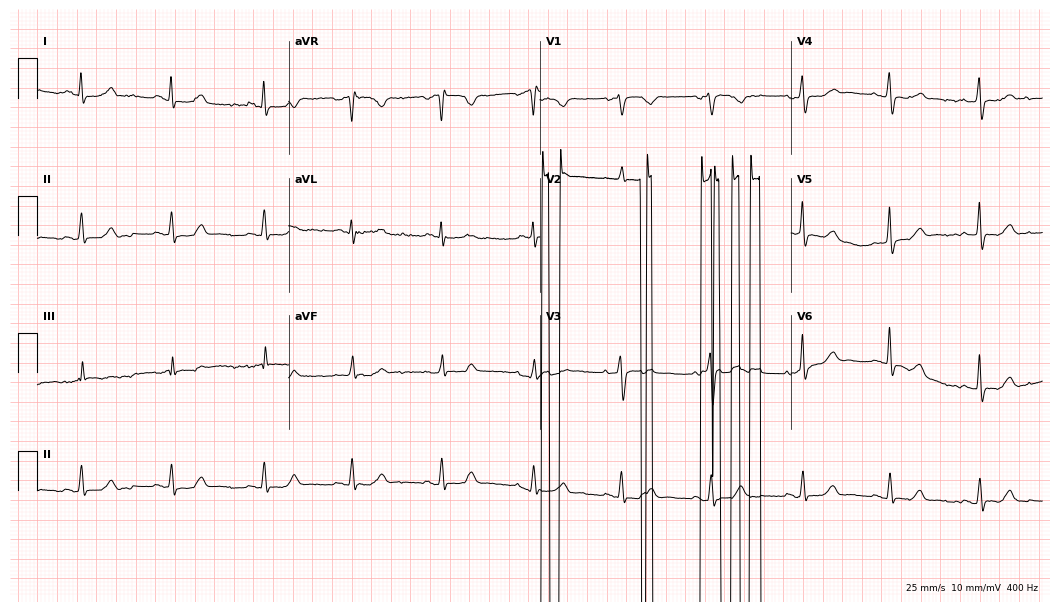
Electrocardiogram (10.2-second recording at 400 Hz), a 62-year-old female patient. Of the six screened findings (first-degree AV block, right bundle branch block, left bundle branch block, sinus bradycardia, atrial fibrillation, sinus tachycardia), none is recorded.